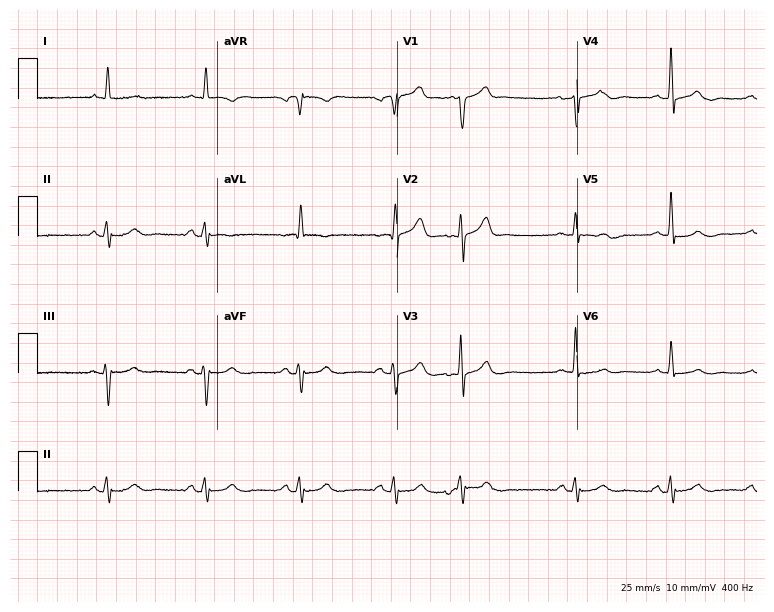
12-lead ECG from a 75-year-old male patient (7.3-second recording at 400 Hz). No first-degree AV block, right bundle branch block (RBBB), left bundle branch block (LBBB), sinus bradycardia, atrial fibrillation (AF) or sinus tachycardia recorded for this tracing.